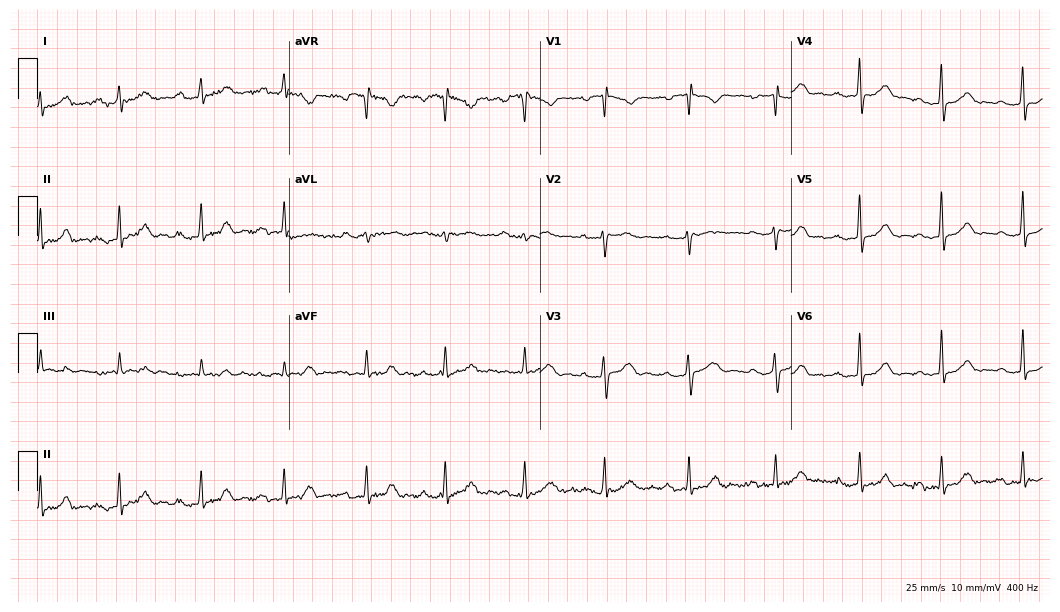
12-lead ECG from a 51-year-old female patient. Findings include first-degree AV block.